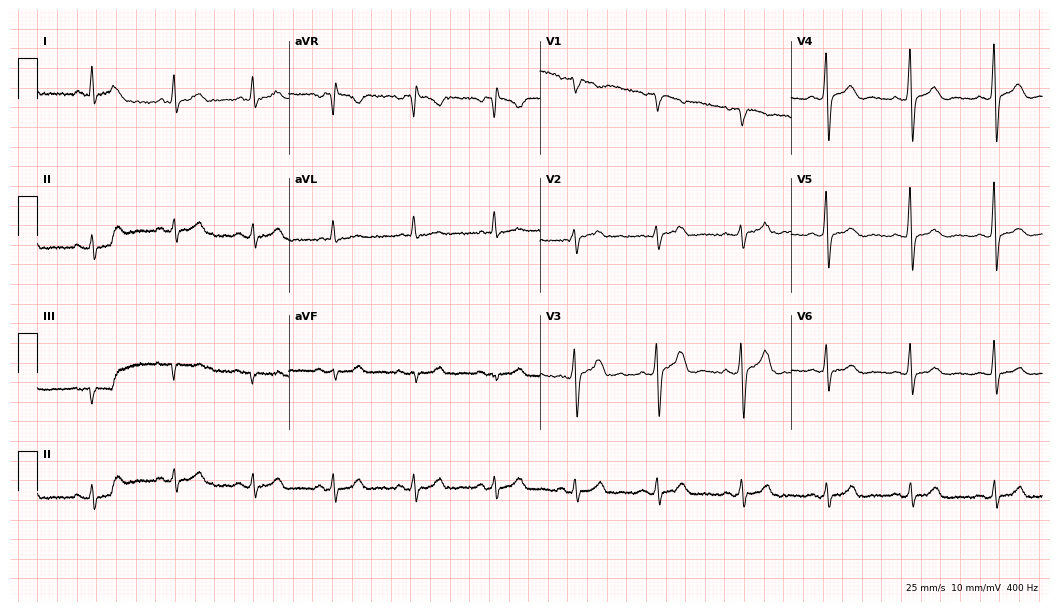
12-lead ECG from a male patient, 57 years old. Recorded interpretation: within normal limits.